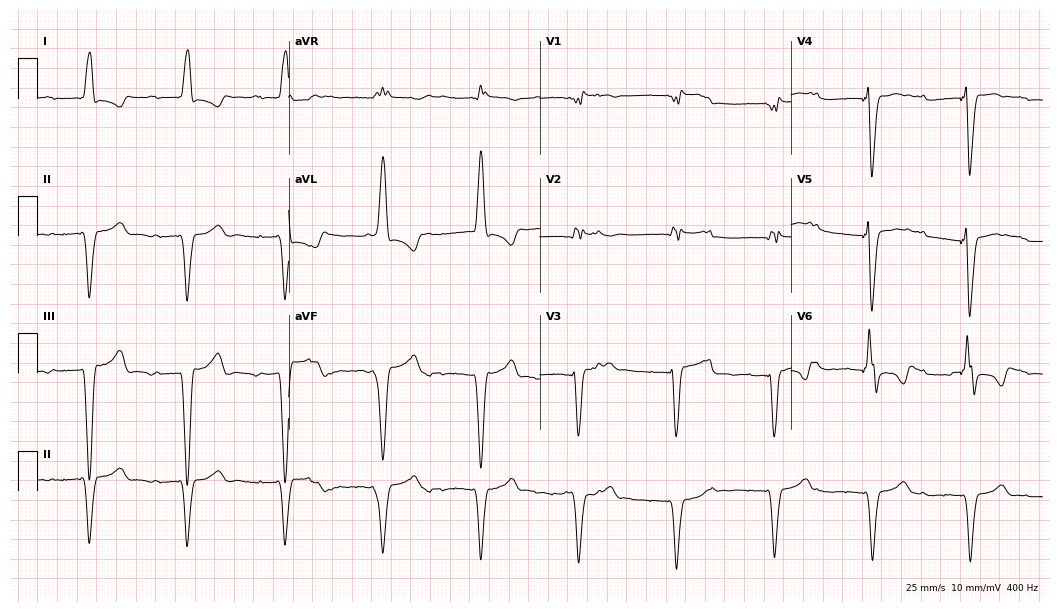
Standard 12-lead ECG recorded from a male patient, 57 years old. None of these six findings is recorded: first-degree AV block, right bundle branch block, left bundle branch block, sinus bradycardia, atrial fibrillation, sinus tachycardia. Other findings, if any, are not listed.